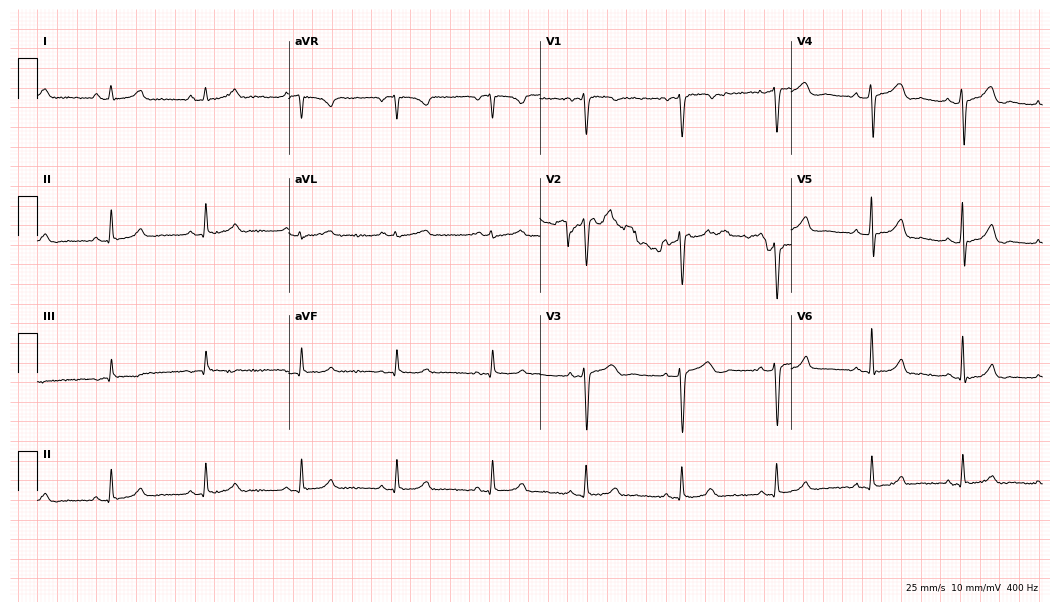
Electrocardiogram (10.2-second recording at 400 Hz), a 44-year-old female patient. Overall reading on record: normal ECG.